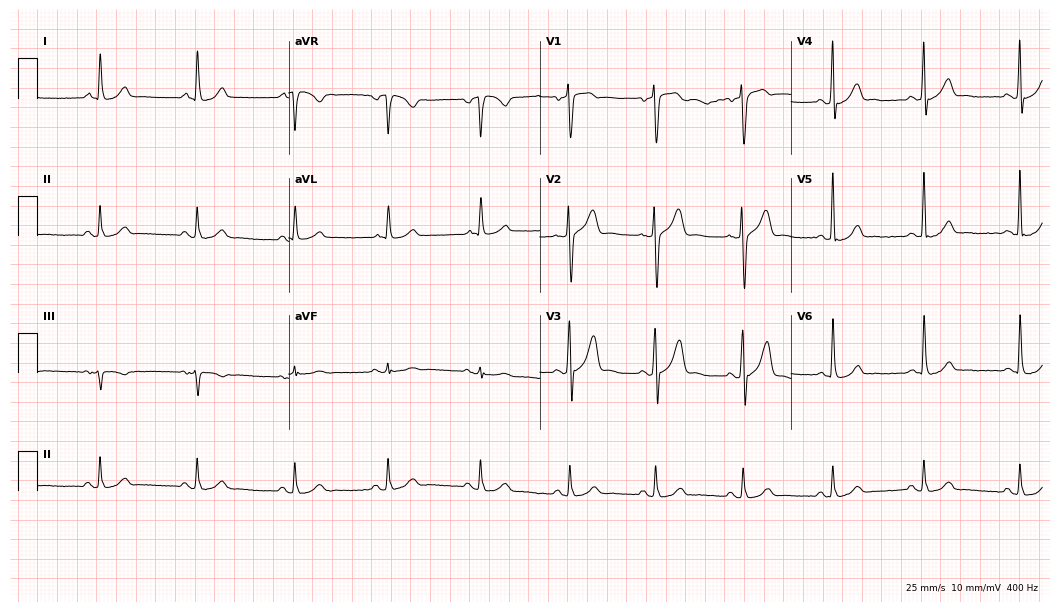
Electrocardiogram, a male patient, 44 years old. Overall reading on record: normal ECG.